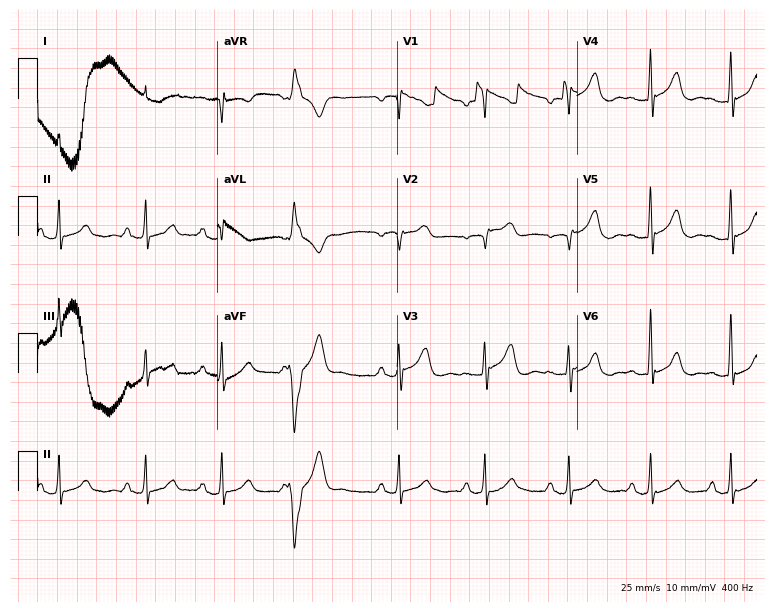
Electrocardiogram, an 80-year-old woman. Of the six screened findings (first-degree AV block, right bundle branch block (RBBB), left bundle branch block (LBBB), sinus bradycardia, atrial fibrillation (AF), sinus tachycardia), none is recorded. Findings outside these six are not listed.